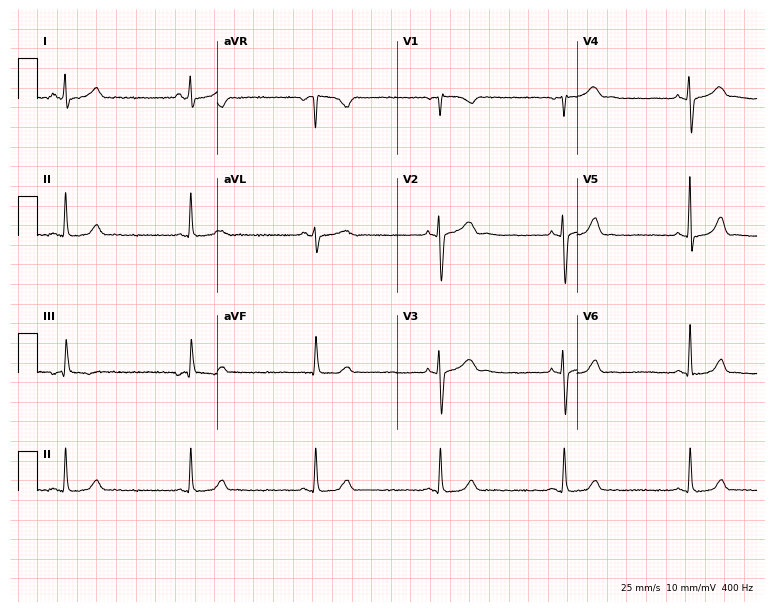
12-lead ECG from a woman, 24 years old (7.3-second recording at 400 Hz). Shows sinus bradycardia (a sinus rate of 50 beats per minute or less).